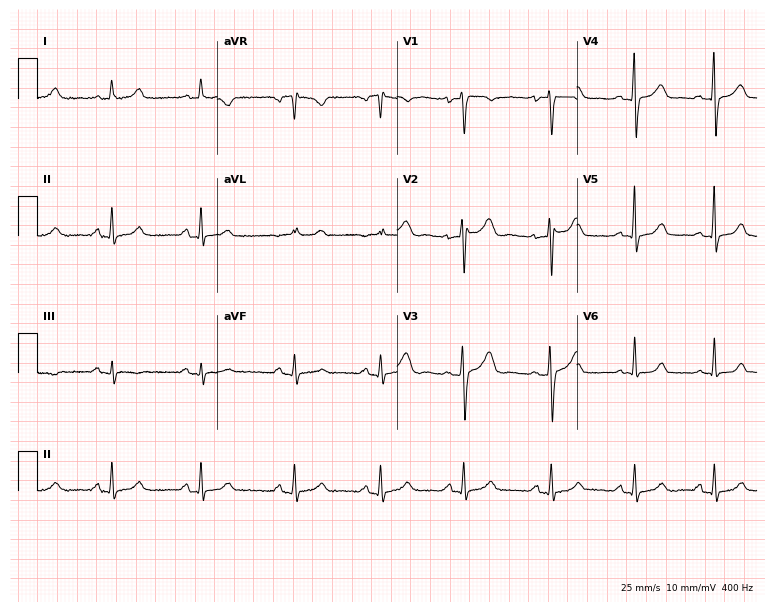
12-lead ECG from a woman, 36 years old. No first-degree AV block, right bundle branch block (RBBB), left bundle branch block (LBBB), sinus bradycardia, atrial fibrillation (AF) or sinus tachycardia recorded for this tracing.